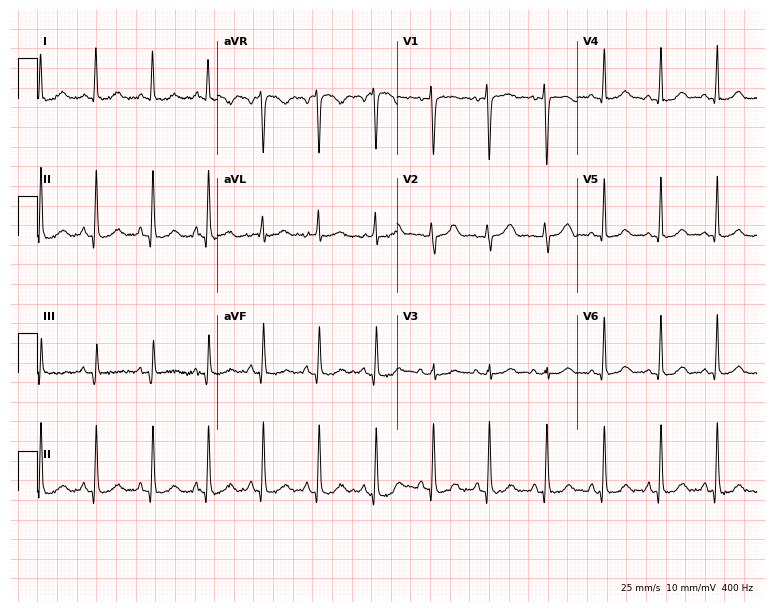
12-lead ECG from a 35-year-old woman (7.3-second recording at 400 Hz). Shows sinus tachycardia (a sinus rate of 100 beats per minute or more).